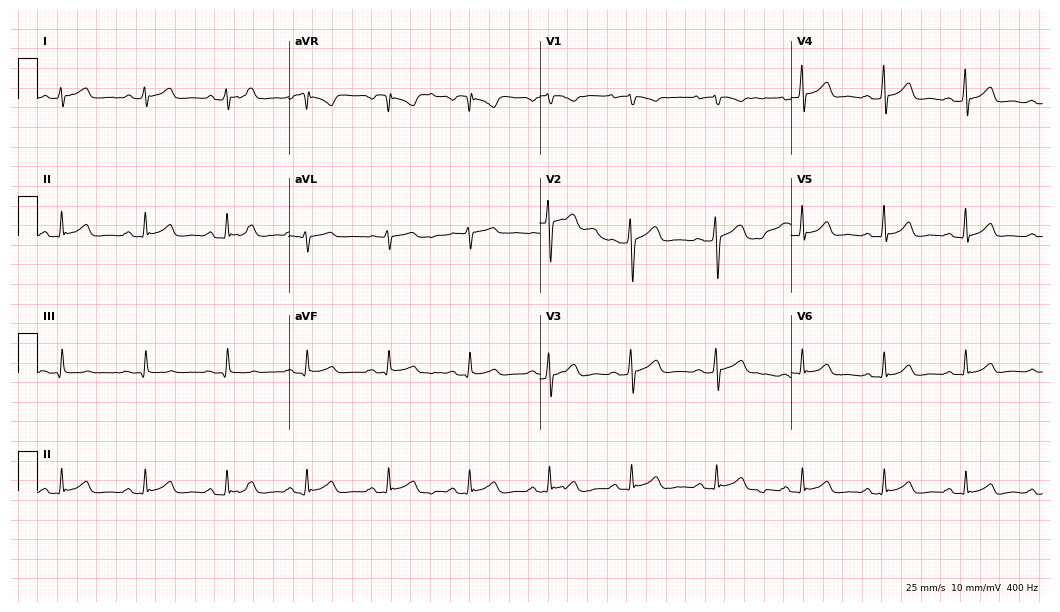
Electrocardiogram, a female, 48 years old. Overall reading on record: normal ECG.